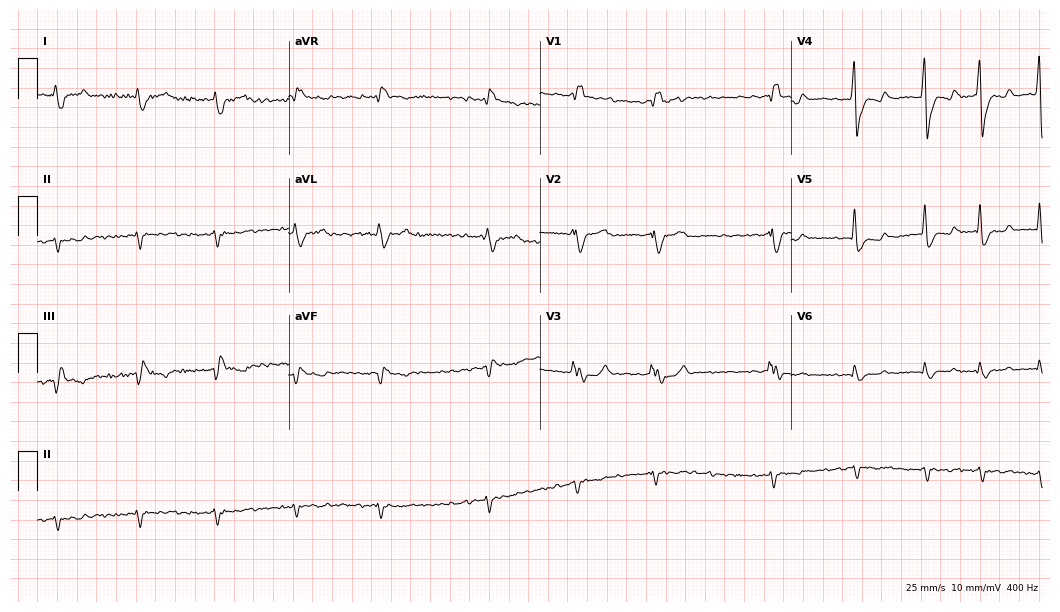
12-lead ECG from a 71-year-old man. Findings include right bundle branch block, atrial fibrillation.